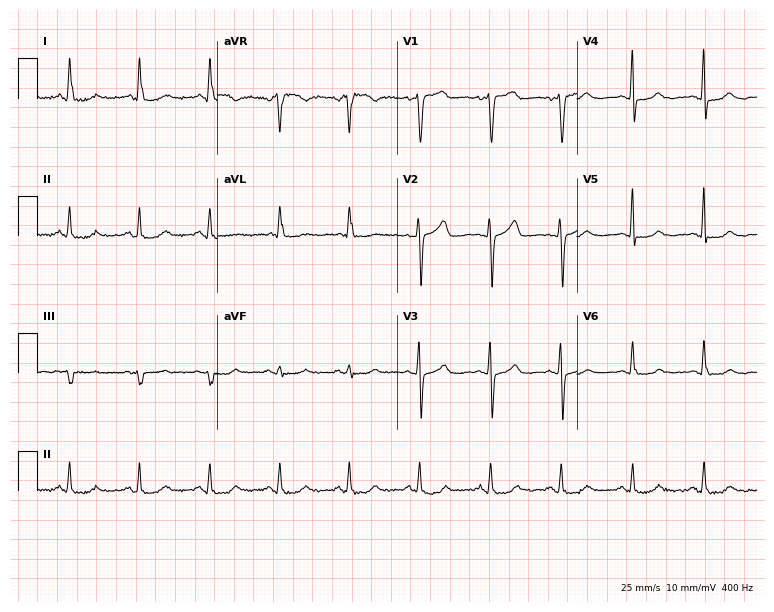
Standard 12-lead ECG recorded from a 65-year-old female (7.3-second recording at 400 Hz). Read as a normal ECG.